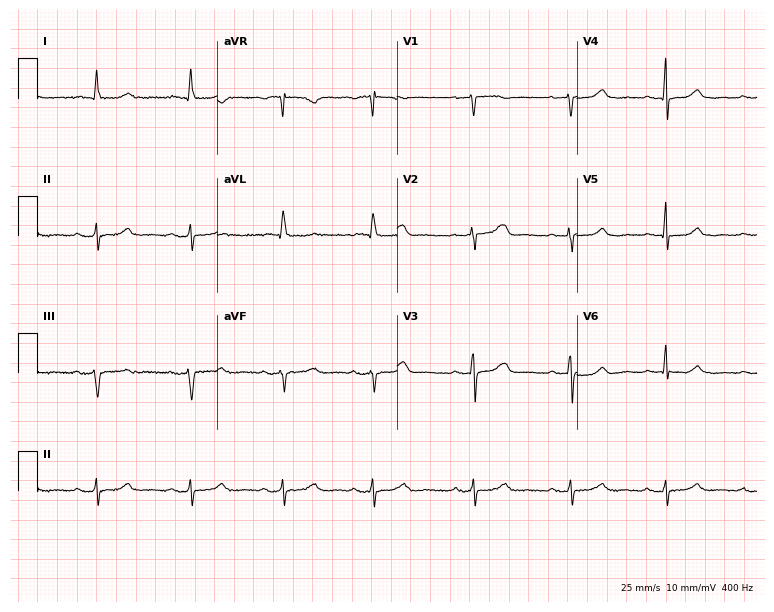
Electrocardiogram, a 77-year-old woman. Overall reading on record: normal ECG.